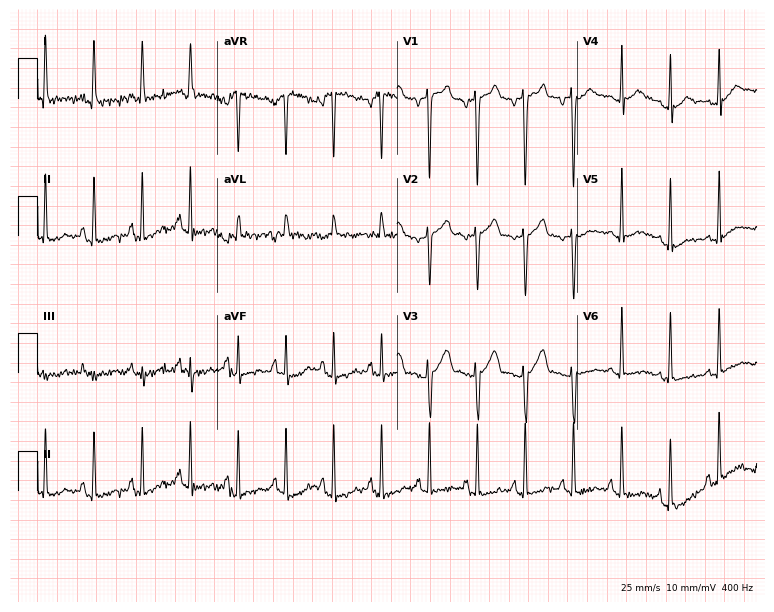
12-lead ECG from a male patient, 35 years old. Shows sinus tachycardia (a sinus rate of 100 beats per minute or more).